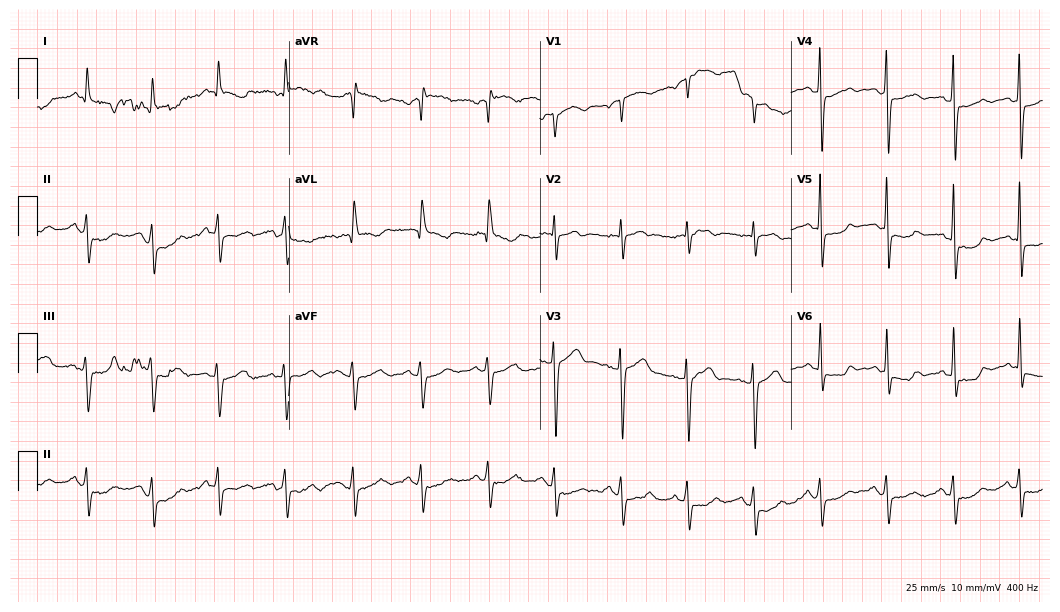
12-lead ECG from a male patient, 66 years old. Screened for six findings — first-degree AV block, right bundle branch block (RBBB), left bundle branch block (LBBB), sinus bradycardia, atrial fibrillation (AF), sinus tachycardia — none is recorded.